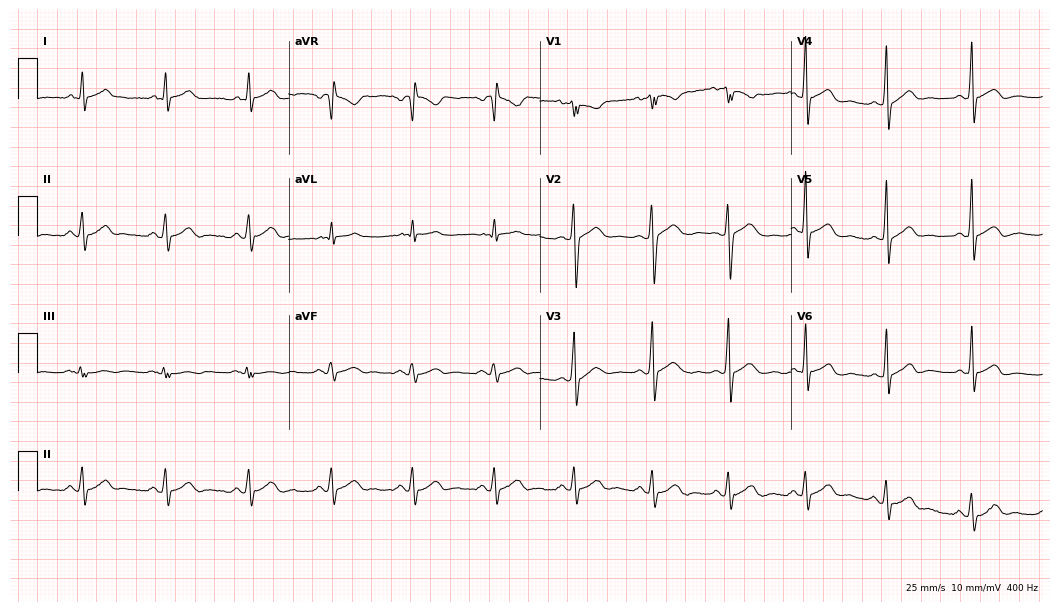
Electrocardiogram (10.2-second recording at 400 Hz), a 41-year-old male. Overall reading on record: normal ECG.